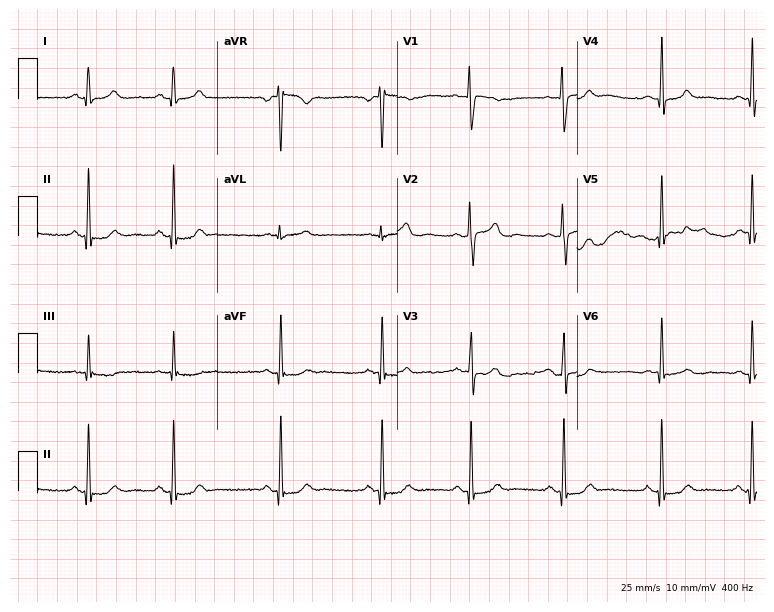
ECG (7.3-second recording at 400 Hz) — a 25-year-old female patient. Screened for six findings — first-degree AV block, right bundle branch block, left bundle branch block, sinus bradycardia, atrial fibrillation, sinus tachycardia — none is recorded.